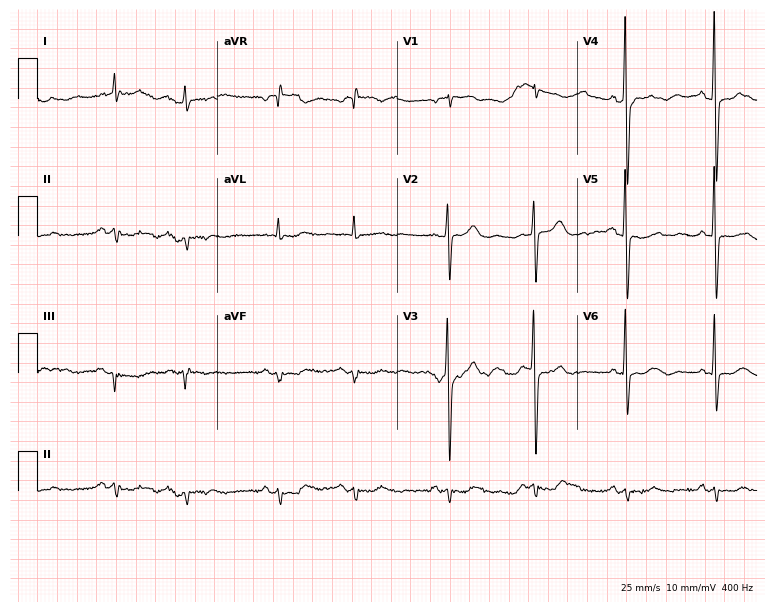
12-lead ECG from a male patient, 76 years old (7.3-second recording at 400 Hz). No first-degree AV block, right bundle branch block (RBBB), left bundle branch block (LBBB), sinus bradycardia, atrial fibrillation (AF) or sinus tachycardia recorded for this tracing. Findings outside these six are not listed.